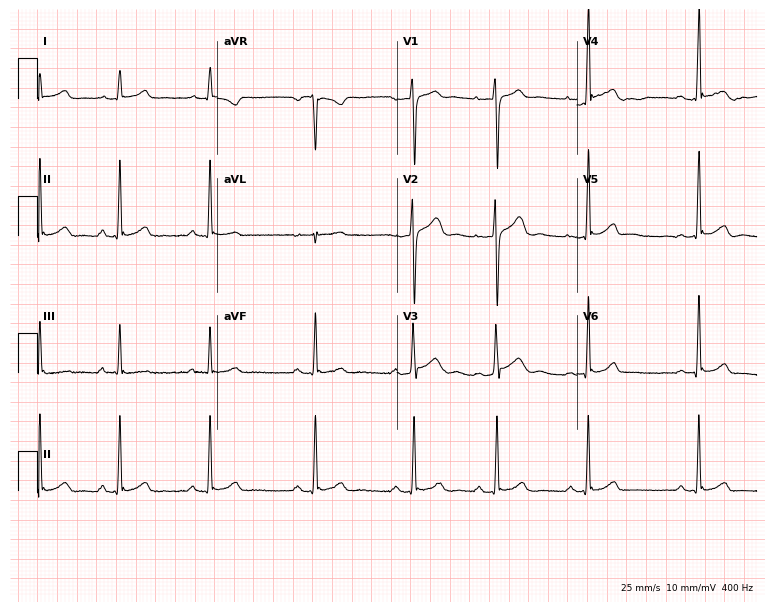
ECG (7.3-second recording at 400 Hz) — a woman, 25 years old. Screened for six findings — first-degree AV block, right bundle branch block, left bundle branch block, sinus bradycardia, atrial fibrillation, sinus tachycardia — none is recorded. Other findings, if any, are not listed.